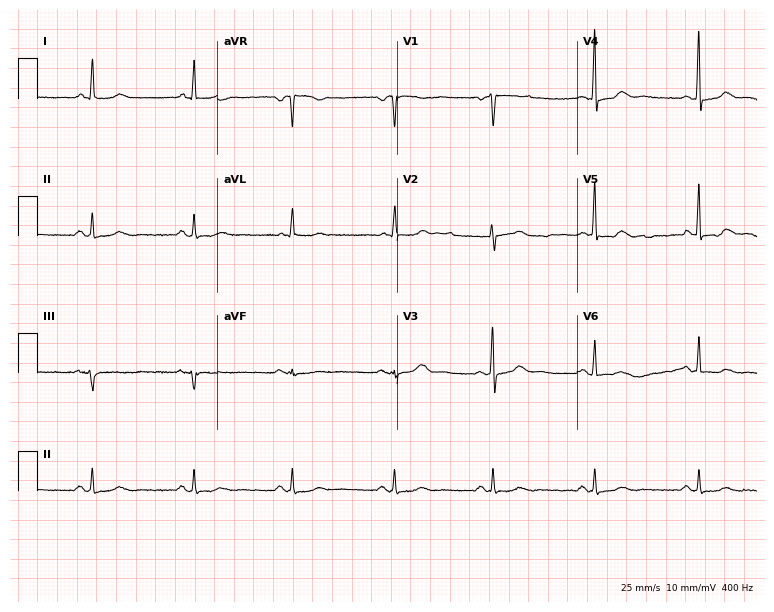
Resting 12-lead electrocardiogram. Patient: a 60-year-old woman. Read as a normal ECG.